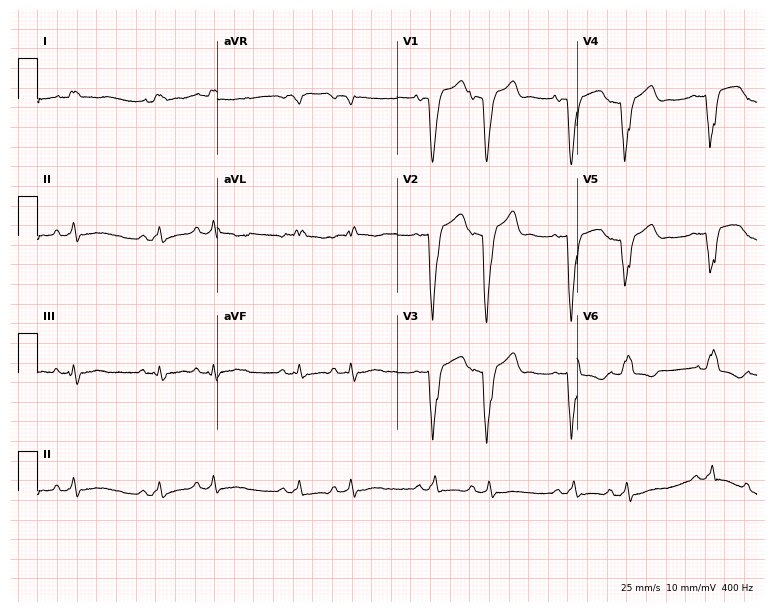
12-lead ECG from a female, 33 years old. Shows left bundle branch block (LBBB).